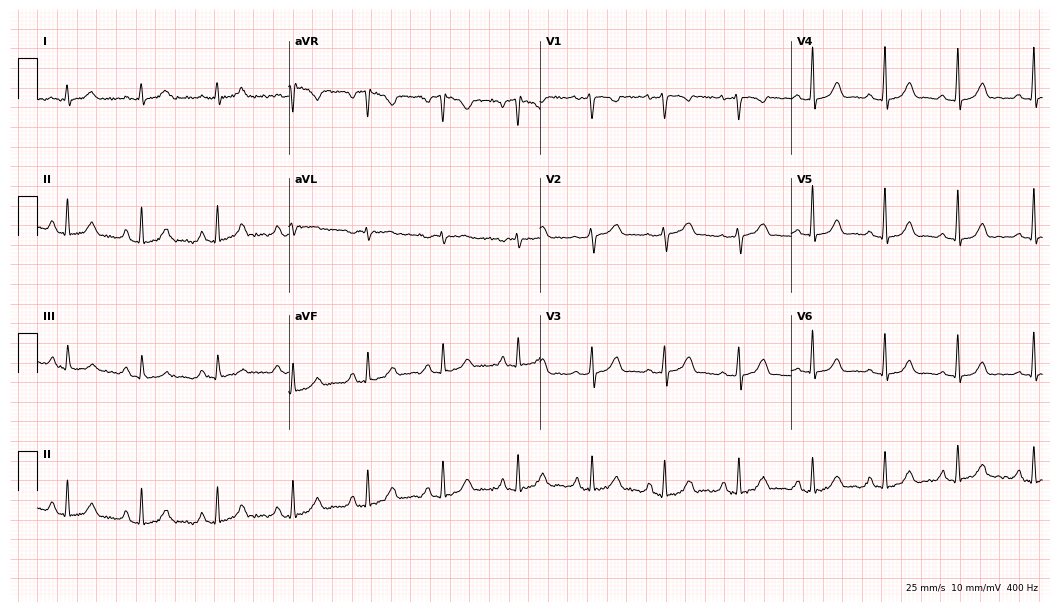
ECG (10.2-second recording at 400 Hz) — a woman, 37 years old. Screened for six findings — first-degree AV block, right bundle branch block, left bundle branch block, sinus bradycardia, atrial fibrillation, sinus tachycardia — none is recorded.